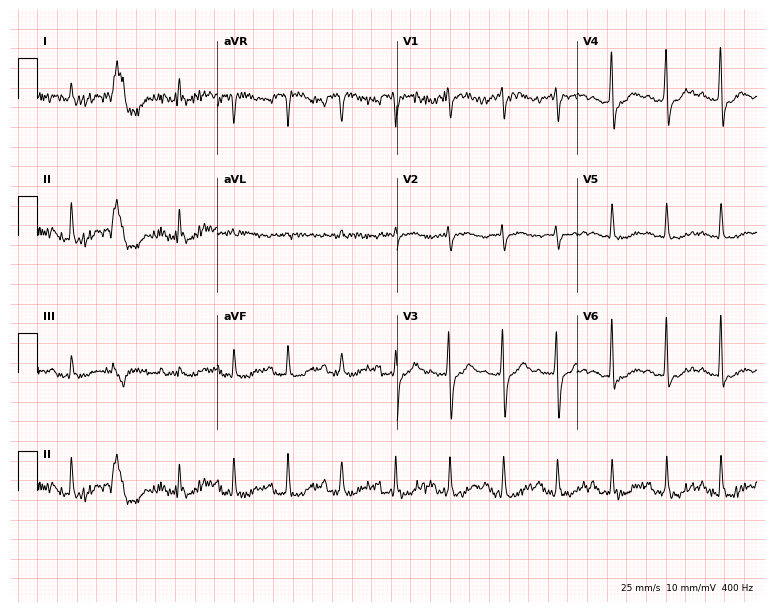
Standard 12-lead ECG recorded from a 66-year-old female patient. The tracing shows sinus tachycardia (a sinus rate of 100 beats per minute or more).